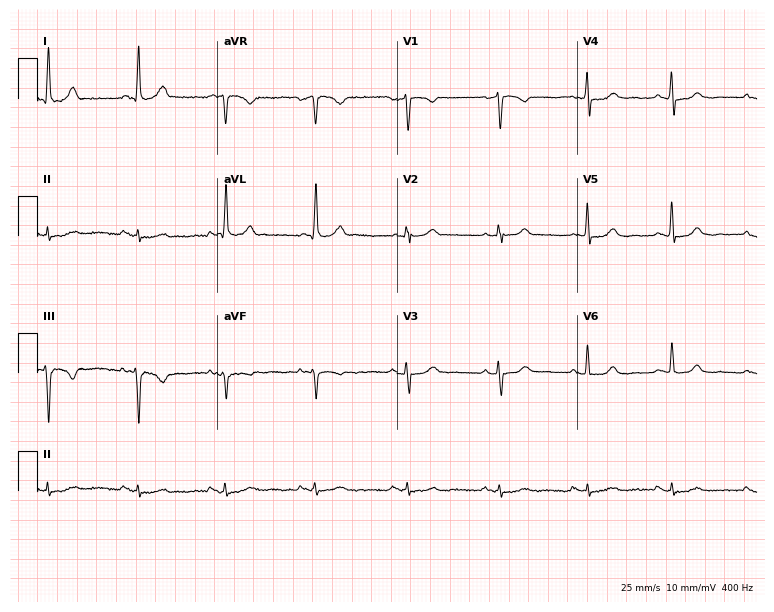
12-lead ECG from a 70-year-old woman (7.3-second recording at 400 Hz). No first-degree AV block, right bundle branch block (RBBB), left bundle branch block (LBBB), sinus bradycardia, atrial fibrillation (AF) or sinus tachycardia recorded for this tracing. Findings outside these six are not listed.